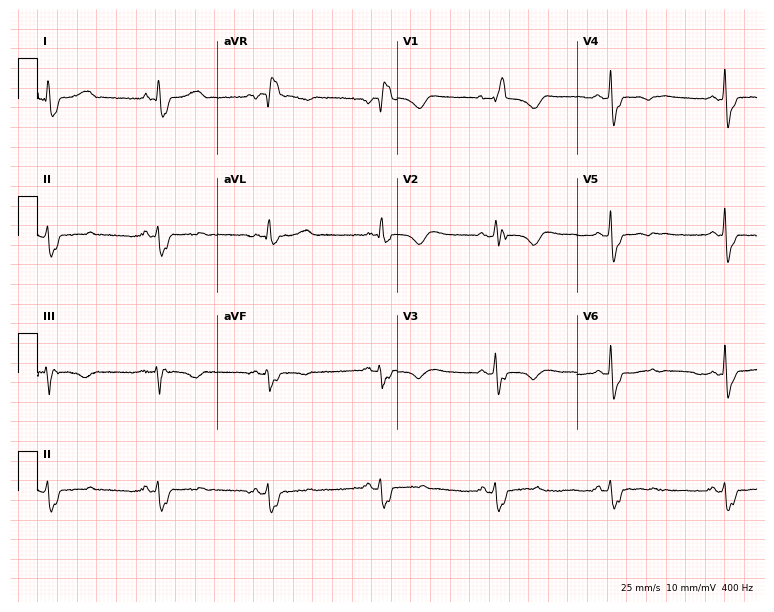
Resting 12-lead electrocardiogram (7.3-second recording at 400 Hz). Patient: a female, 66 years old. The tracing shows right bundle branch block (RBBB).